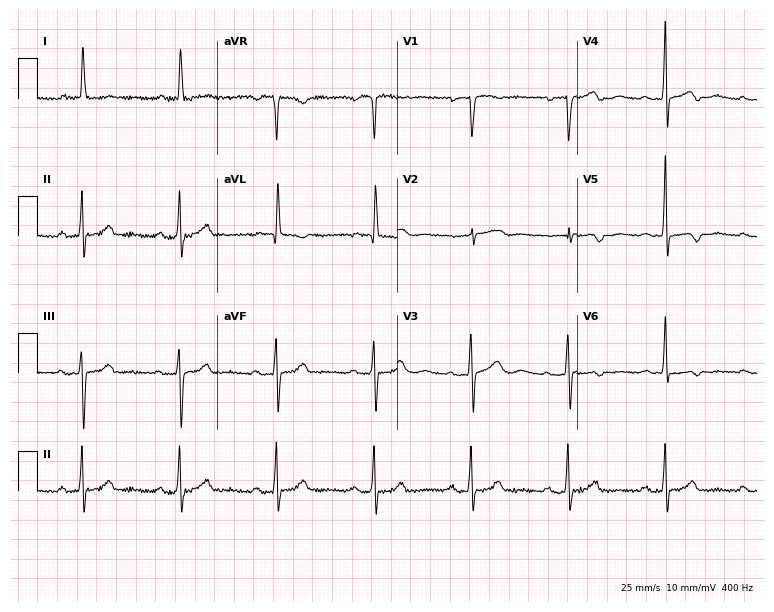
Standard 12-lead ECG recorded from a female patient, 85 years old (7.3-second recording at 400 Hz). The tracing shows first-degree AV block.